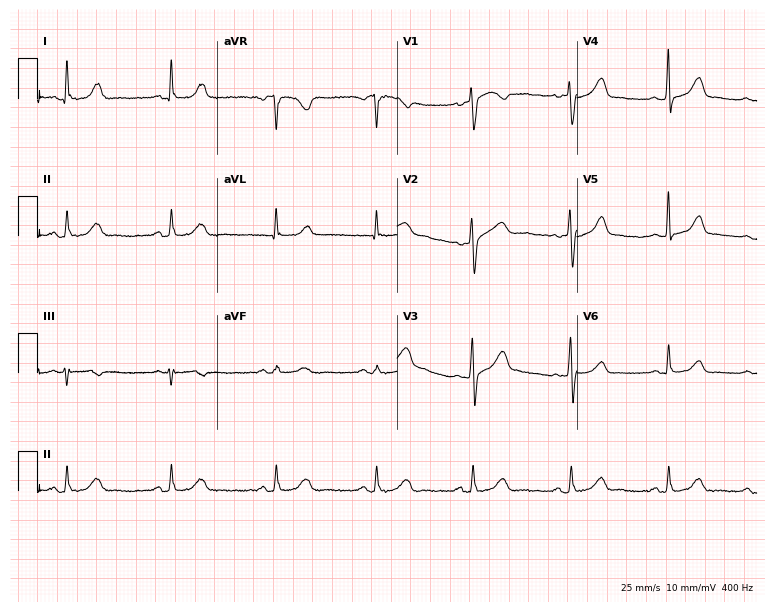
12-lead ECG from a 27-year-old woman (7.3-second recording at 400 Hz). Recorded interpretation: within normal limits.